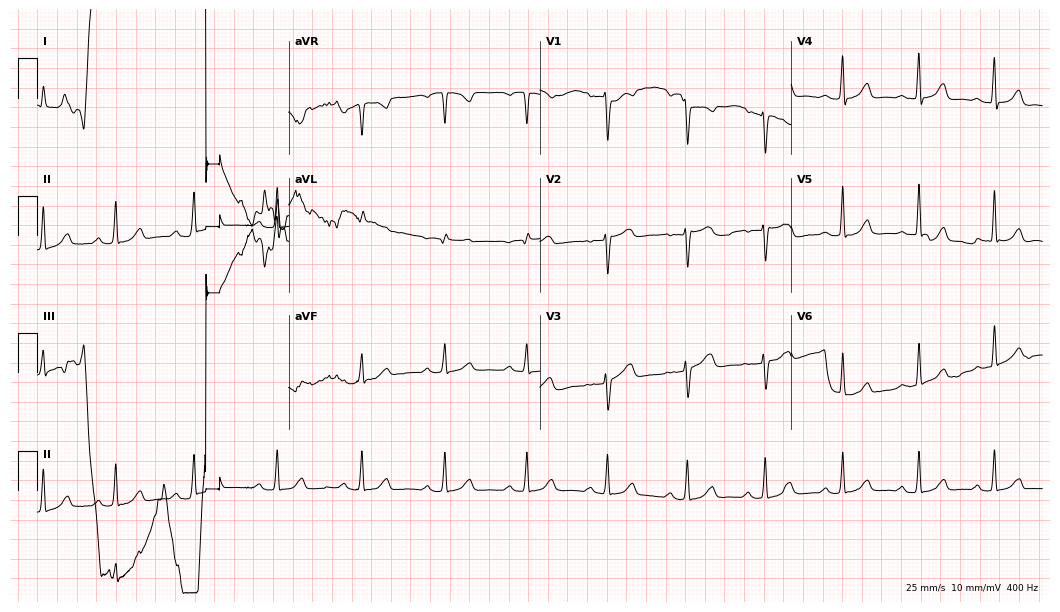
Electrocardiogram (10.2-second recording at 400 Hz), a female patient, 49 years old. Of the six screened findings (first-degree AV block, right bundle branch block, left bundle branch block, sinus bradycardia, atrial fibrillation, sinus tachycardia), none is recorded.